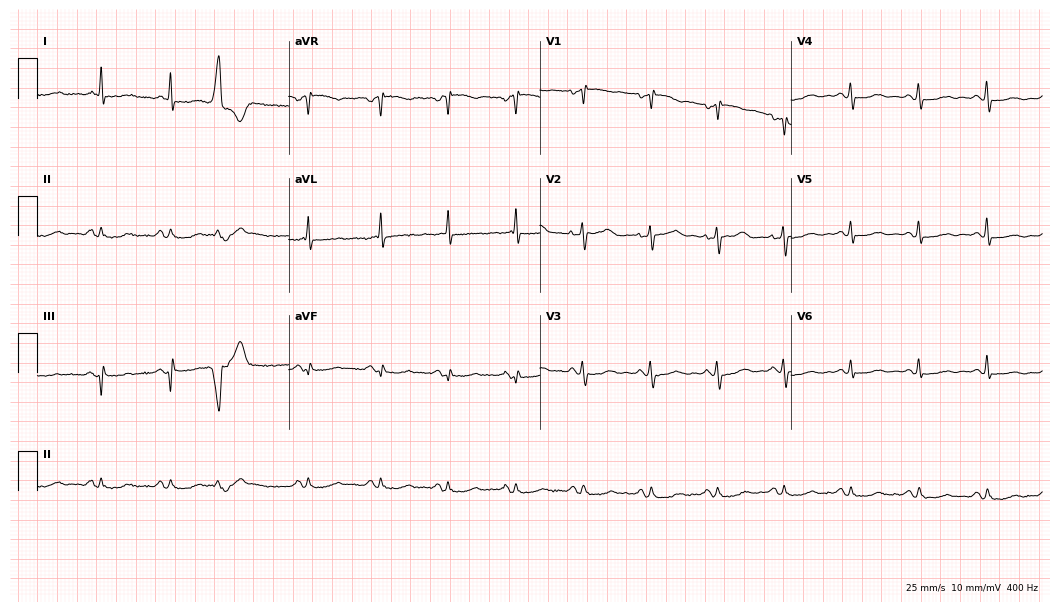
Standard 12-lead ECG recorded from a female, 85 years old (10.2-second recording at 400 Hz). None of these six findings is recorded: first-degree AV block, right bundle branch block, left bundle branch block, sinus bradycardia, atrial fibrillation, sinus tachycardia. Other findings, if any, are not listed.